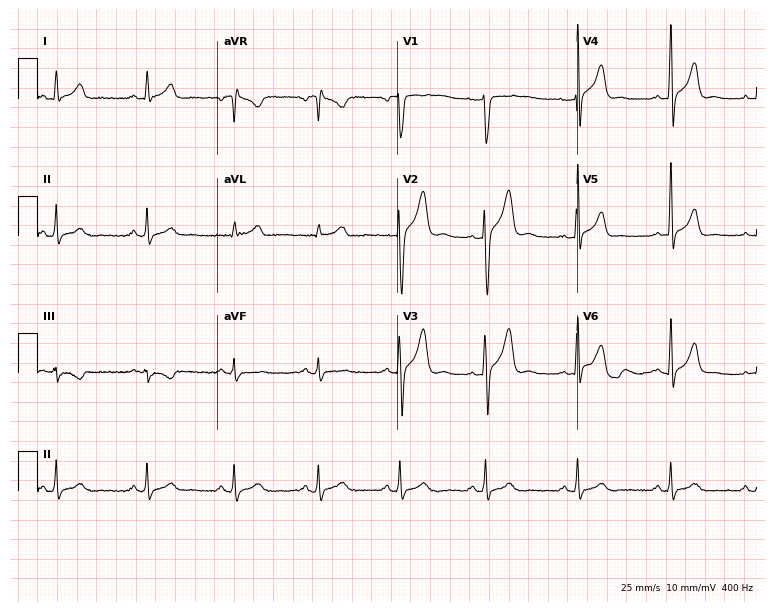
12-lead ECG from a 32-year-old male (7.3-second recording at 400 Hz). No first-degree AV block, right bundle branch block, left bundle branch block, sinus bradycardia, atrial fibrillation or sinus tachycardia recorded for this tracing. Only these six findings were labelled.